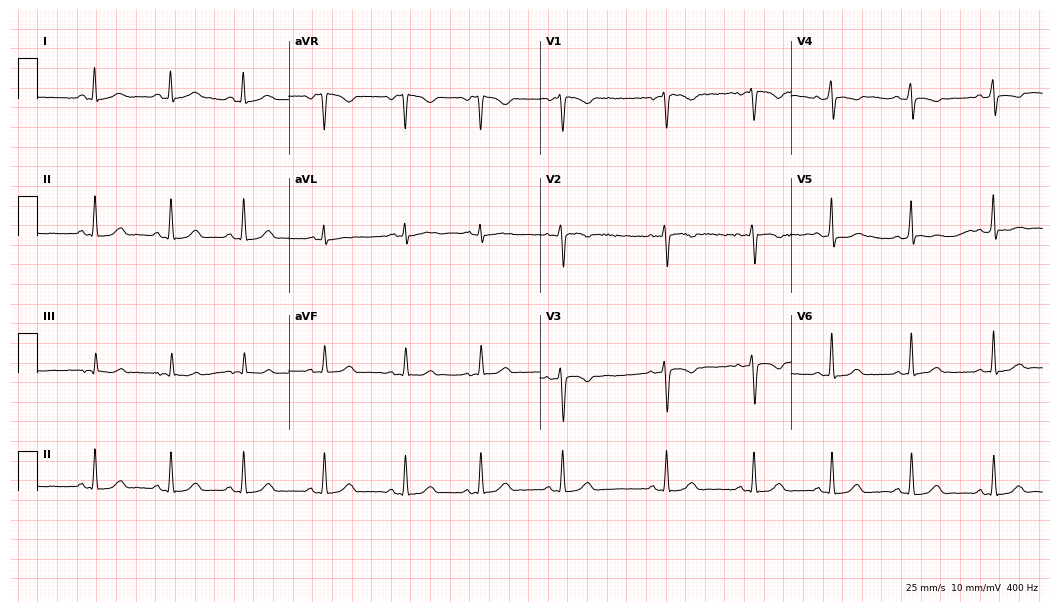
Standard 12-lead ECG recorded from a 31-year-old woman. Read as a normal ECG.